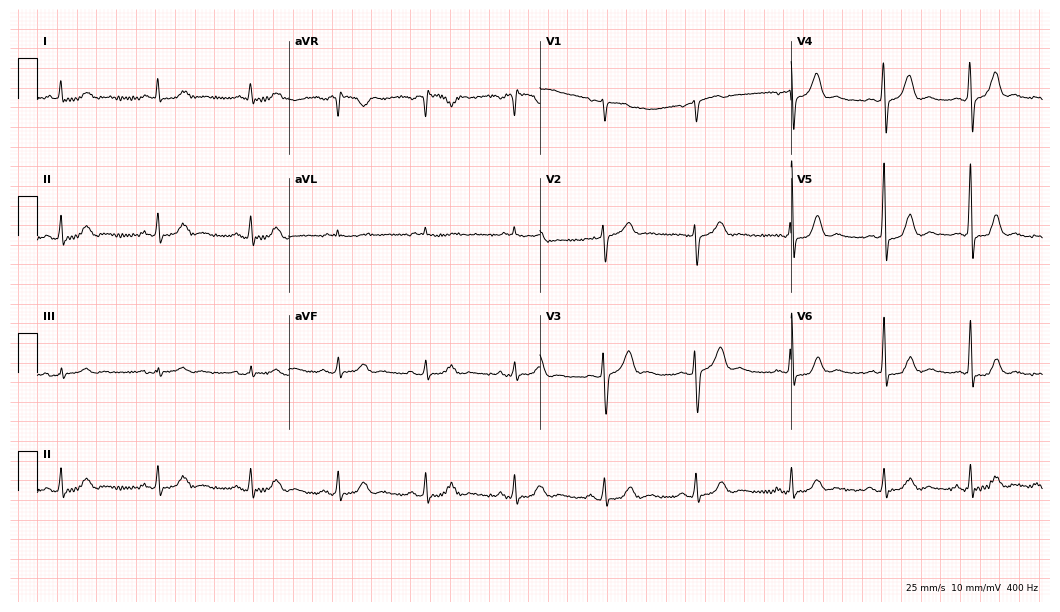
12-lead ECG from a 59-year-old man. Screened for six findings — first-degree AV block, right bundle branch block, left bundle branch block, sinus bradycardia, atrial fibrillation, sinus tachycardia — none is recorded. Other findings, if any, are not listed.